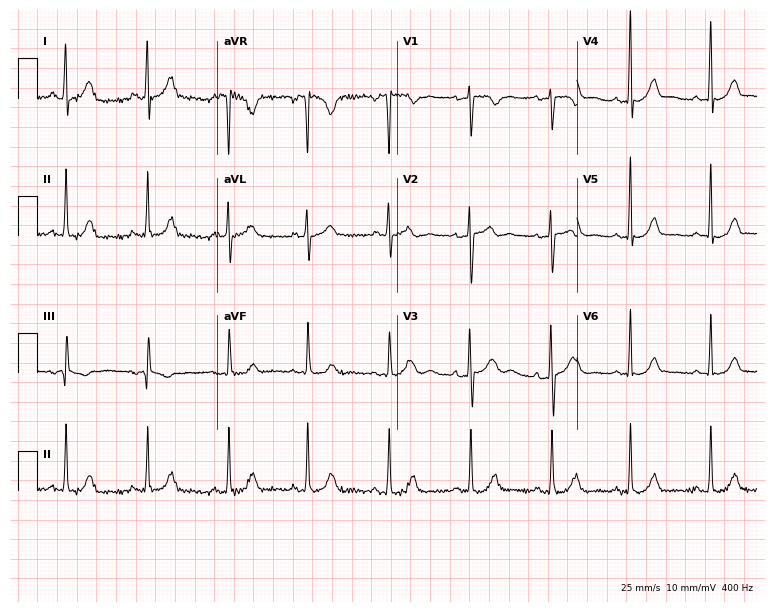
Standard 12-lead ECG recorded from a woman, 23 years old (7.3-second recording at 400 Hz). Read as a normal ECG.